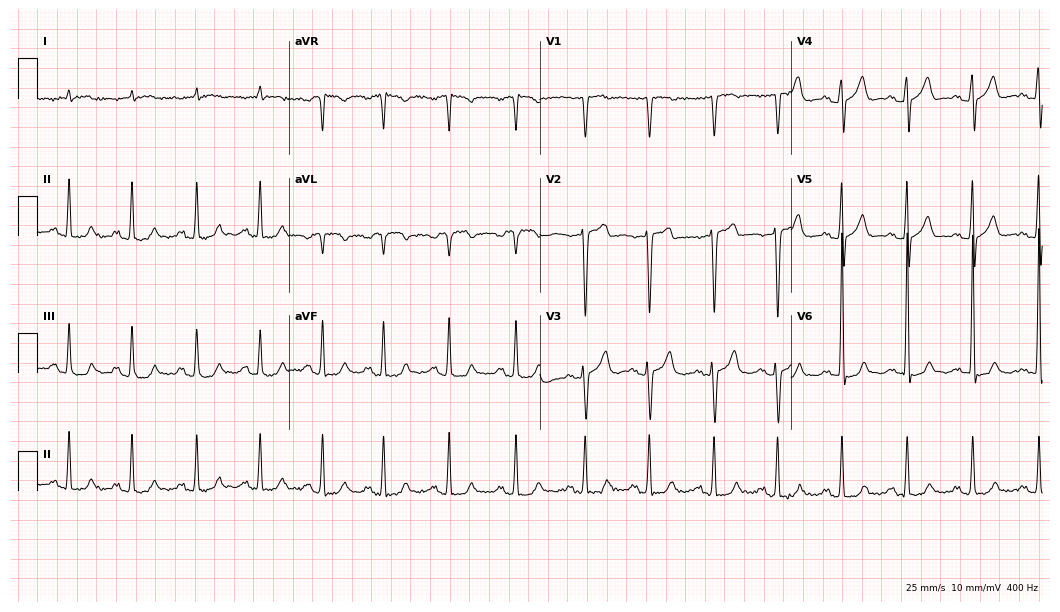
ECG (10.2-second recording at 400 Hz) — a 67-year-old male patient. Screened for six findings — first-degree AV block, right bundle branch block (RBBB), left bundle branch block (LBBB), sinus bradycardia, atrial fibrillation (AF), sinus tachycardia — none is recorded.